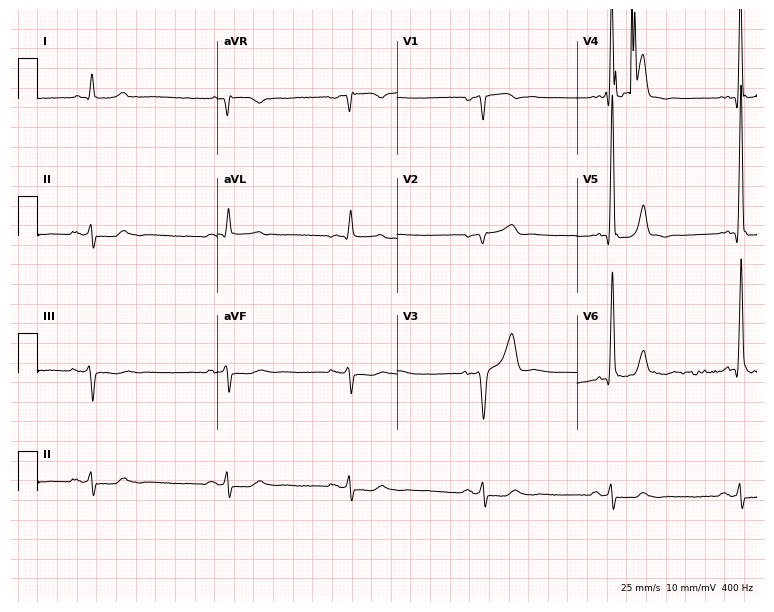
Electrocardiogram, a male patient, 85 years old. Interpretation includes sinus bradycardia (a sinus rate of 50 beats per minute or less).